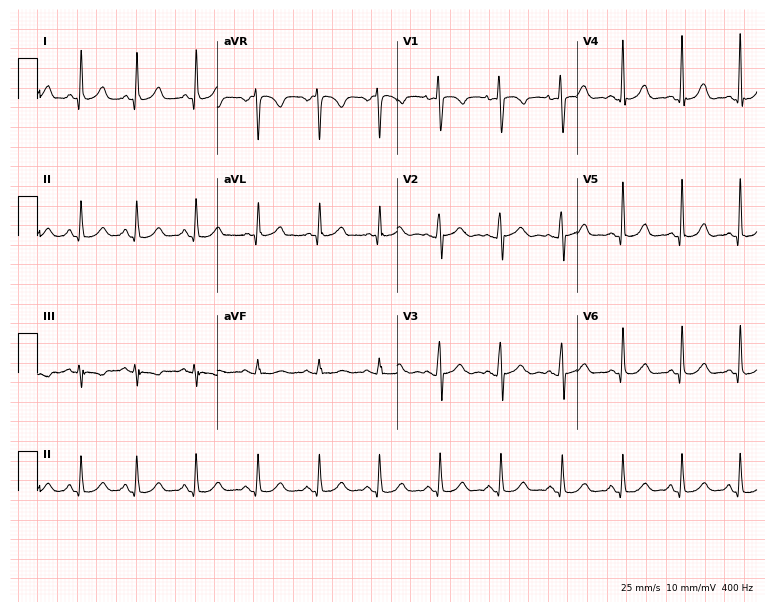
Standard 12-lead ECG recorded from a 41-year-old woman (7.3-second recording at 400 Hz). Read as a normal ECG.